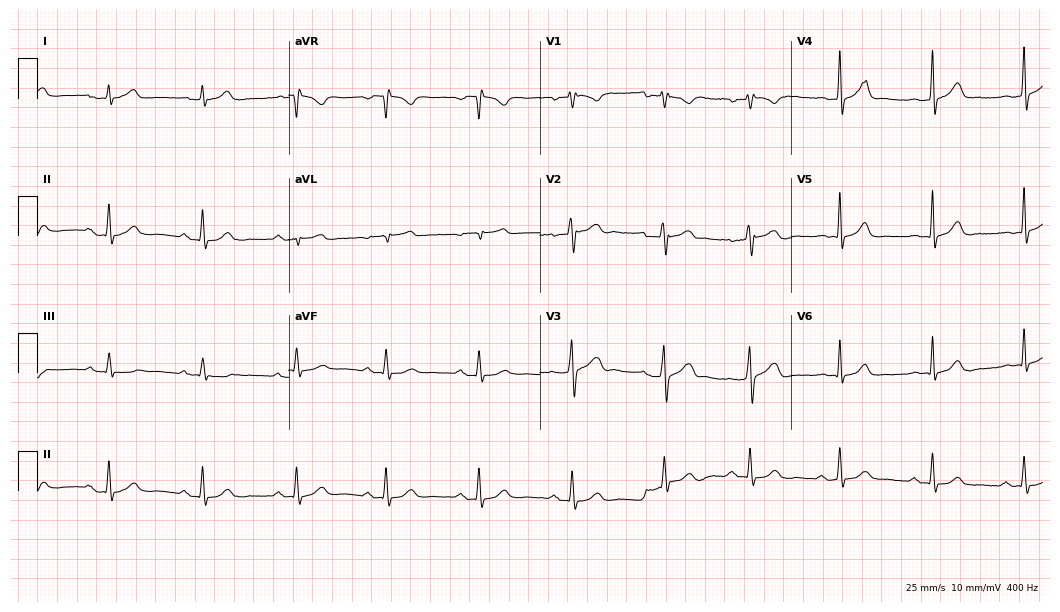
Standard 12-lead ECG recorded from a 33-year-old man (10.2-second recording at 400 Hz). Read as a normal ECG.